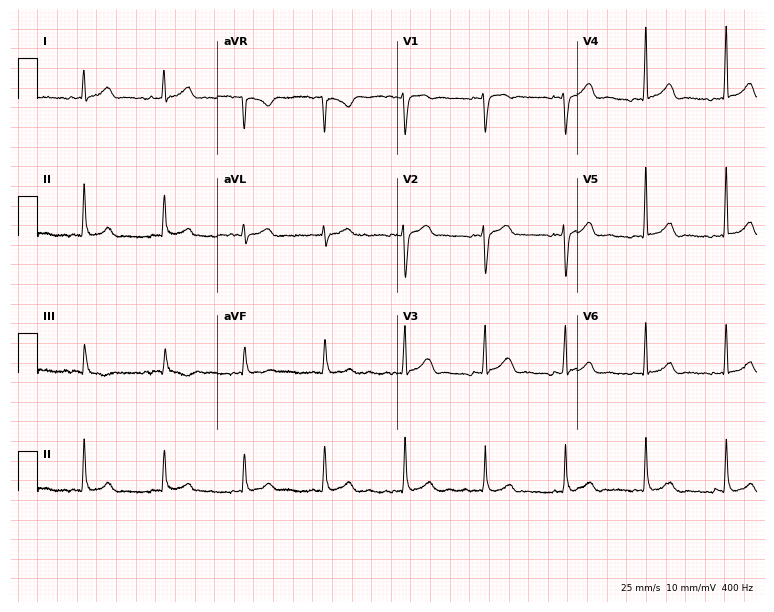
12-lead ECG from a male patient, 27 years old. Screened for six findings — first-degree AV block, right bundle branch block, left bundle branch block, sinus bradycardia, atrial fibrillation, sinus tachycardia — none is recorded.